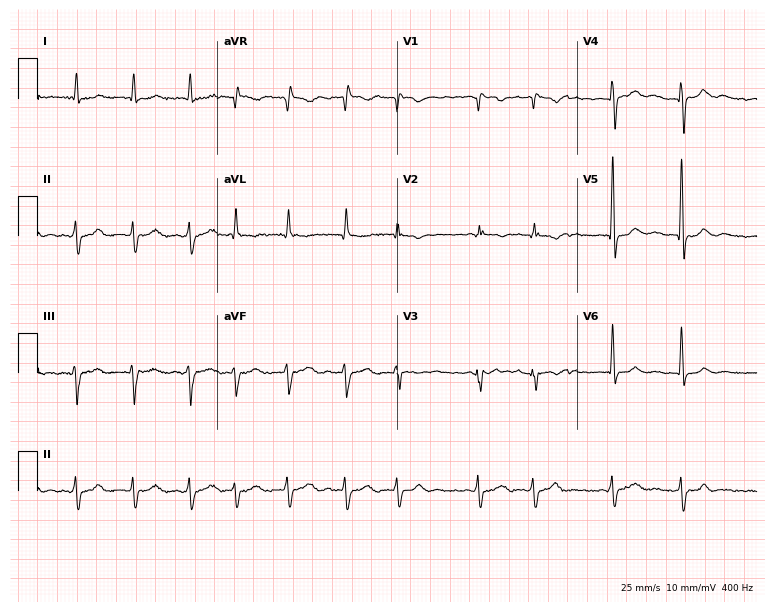
Standard 12-lead ECG recorded from an 86-year-old male patient. The tracing shows atrial fibrillation.